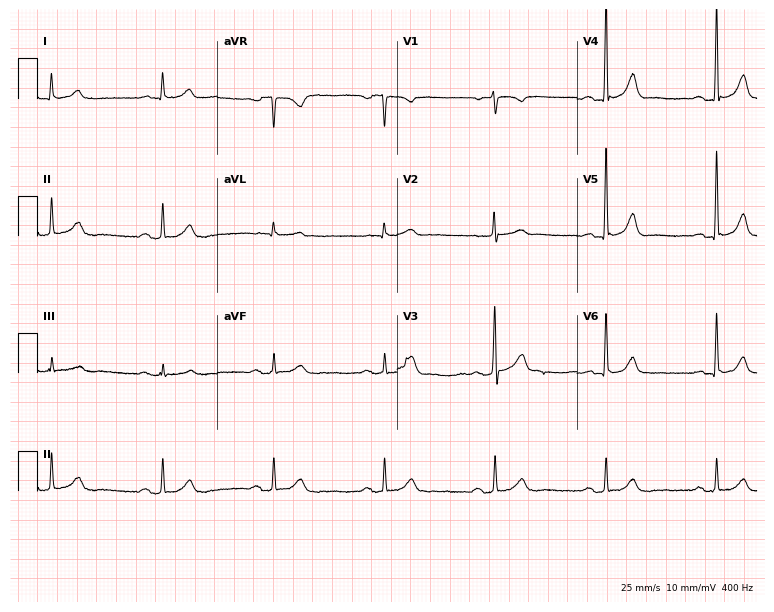
12-lead ECG from a male, 78 years old. Screened for six findings — first-degree AV block, right bundle branch block, left bundle branch block, sinus bradycardia, atrial fibrillation, sinus tachycardia — none is recorded.